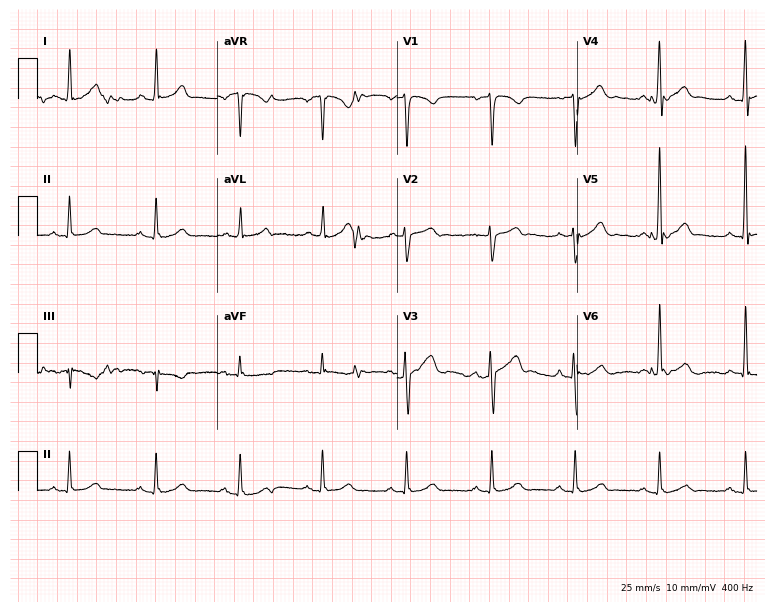
Resting 12-lead electrocardiogram. Patient: a man, 44 years old. Read as a normal ECG.